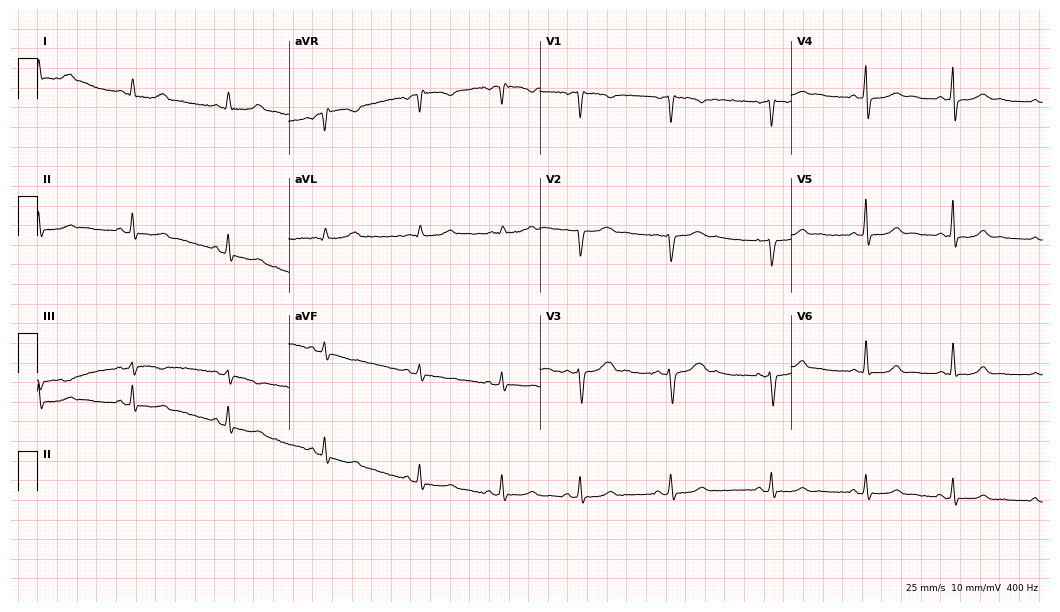
12-lead ECG from a female patient, 32 years old. Screened for six findings — first-degree AV block, right bundle branch block, left bundle branch block, sinus bradycardia, atrial fibrillation, sinus tachycardia — none is recorded.